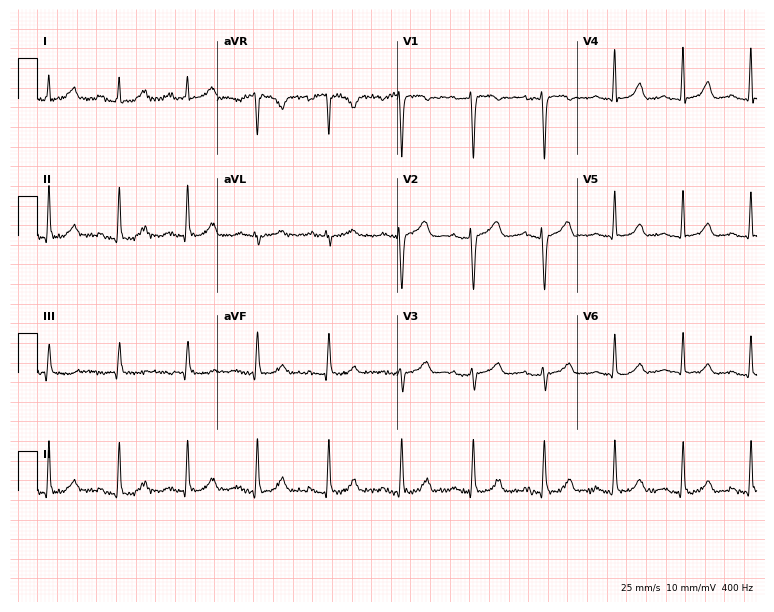
Standard 12-lead ECG recorded from a 31-year-old female patient. Read as a normal ECG.